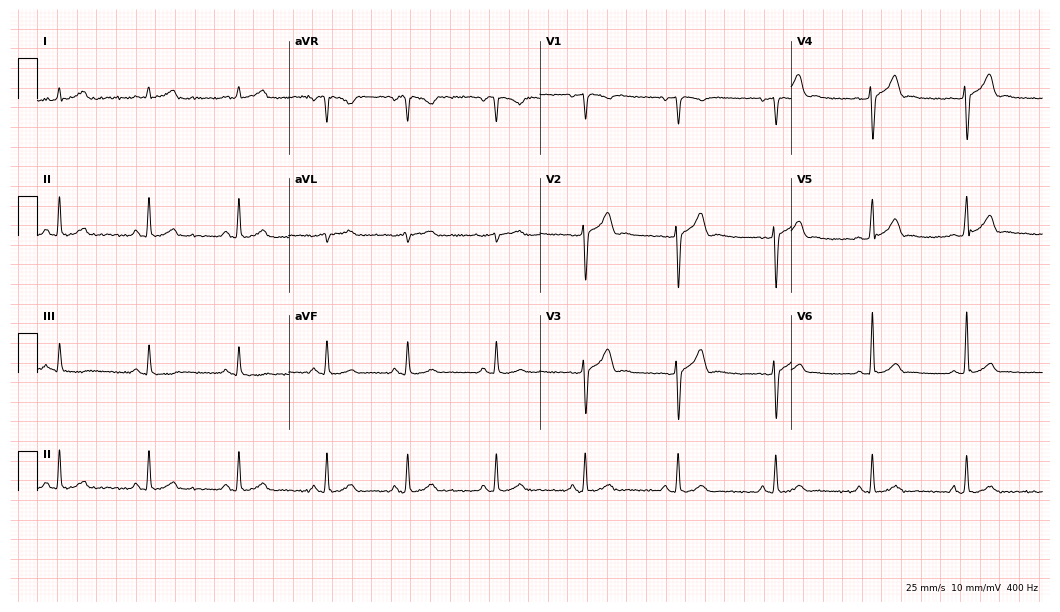
12-lead ECG from a man, 28 years old. Recorded interpretation: within normal limits.